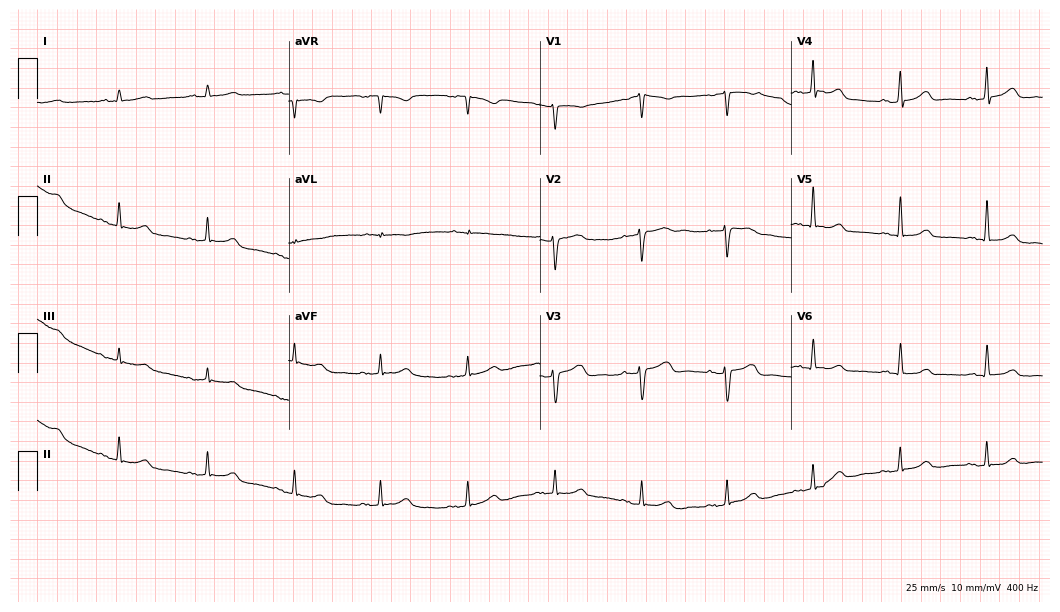
ECG — a 60-year-old female. Screened for six findings — first-degree AV block, right bundle branch block, left bundle branch block, sinus bradycardia, atrial fibrillation, sinus tachycardia — none is recorded.